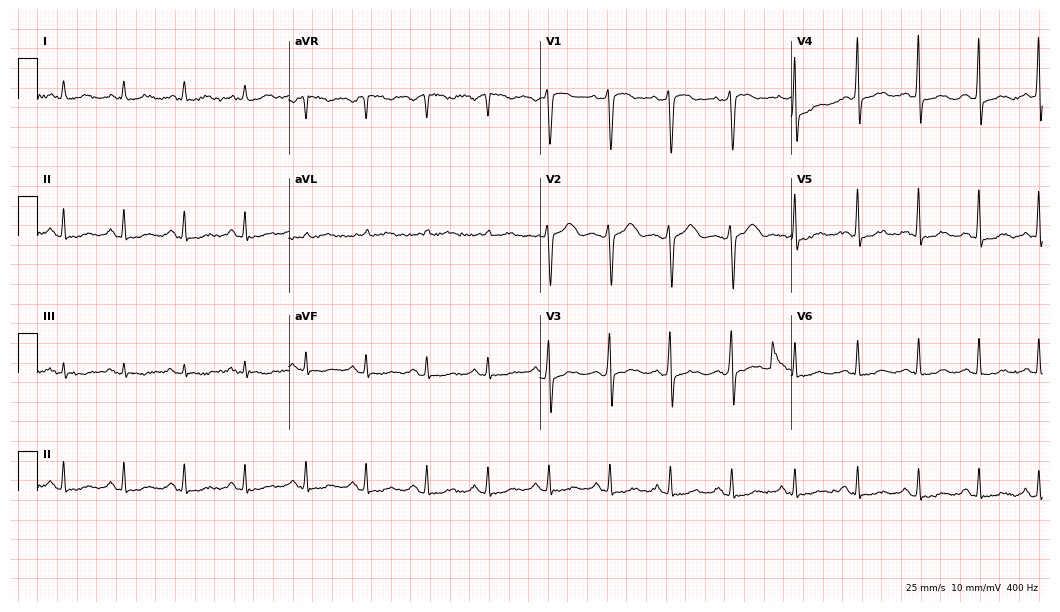
Standard 12-lead ECG recorded from a 53-year-old female (10.2-second recording at 400 Hz). Read as a normal ECG.